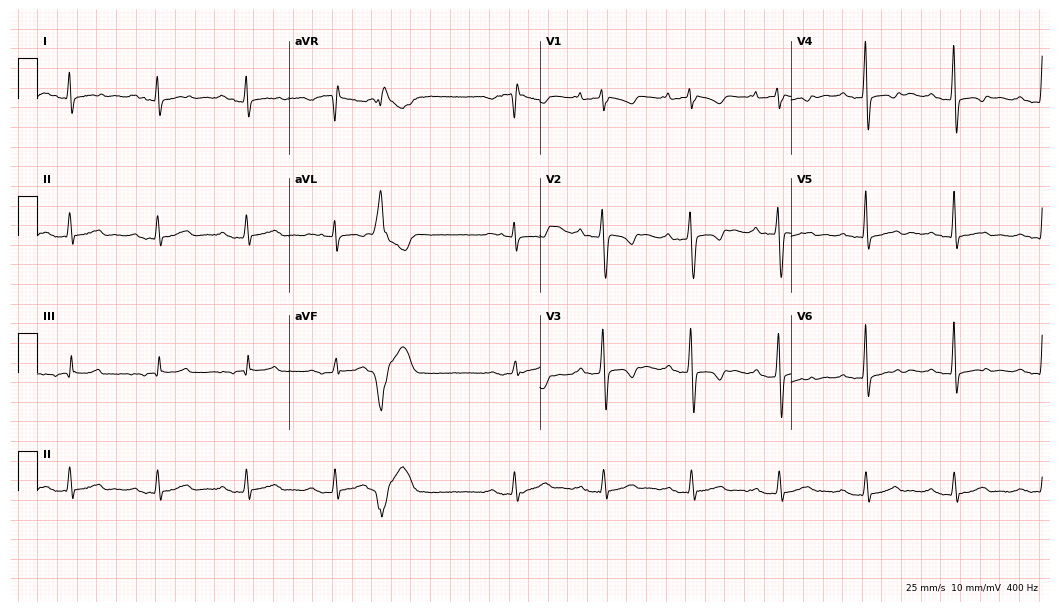
Standard 12-lead ECG recorded from a male, 50 years old. The tracing shows first-degree AV block.